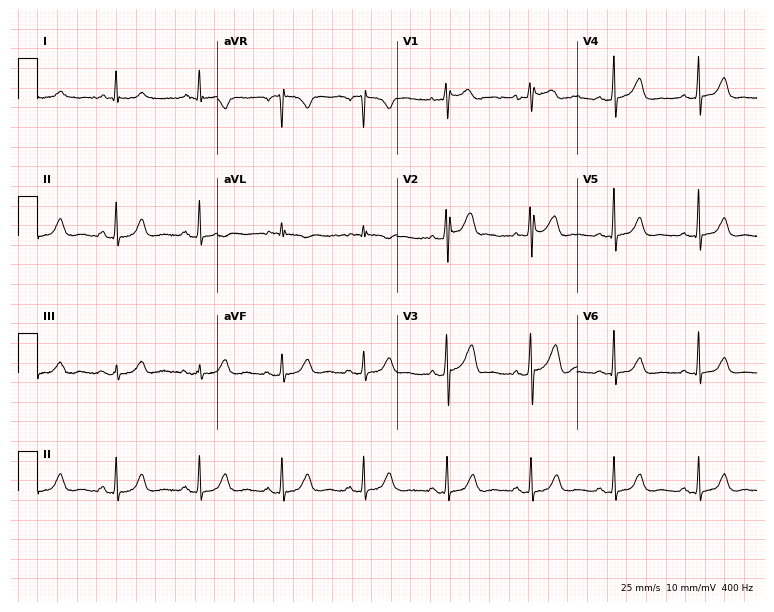
ECG (7.3-second recording at 400 Hz) — a 54-year-old woman. Screened for six findings — first-degree AV block, right bundle branch block, left bundle branch block, sinus bradycardia, atrial fibrillation, sinus tachycardia — none is recorded.